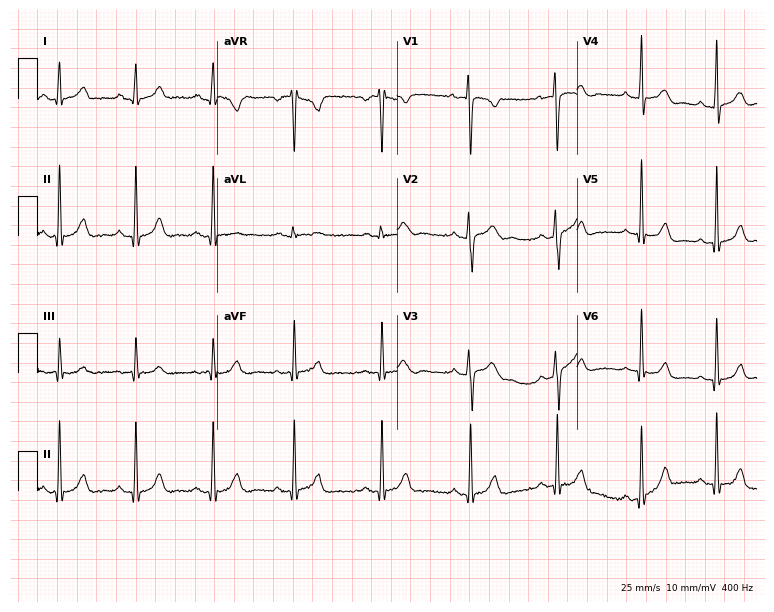
12-lead ECG (7.3-second recording at 400 Hz) from a woman, 17 years old. Labelled as a normal ECG.